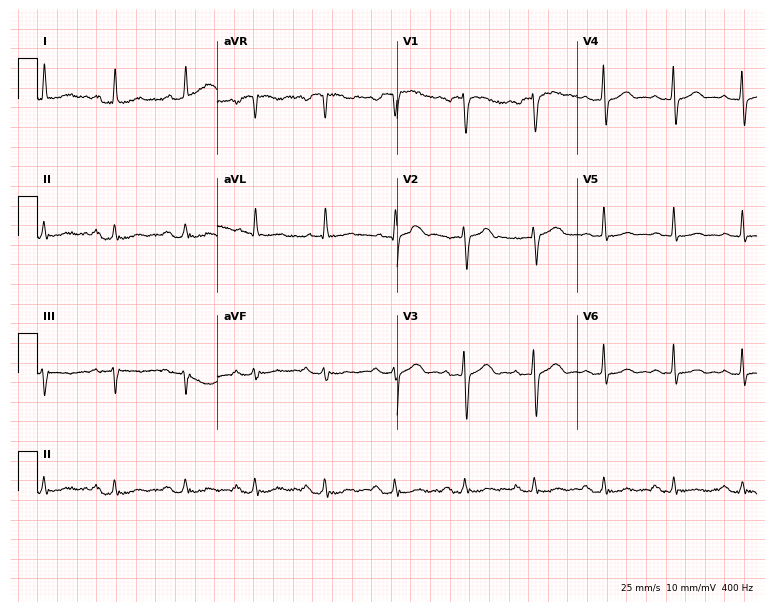
Resting 12-lead electrocardiogram (7.3-second recording at 400 Hz). Patient: a 69-year-old male. Read as a normal ECG.